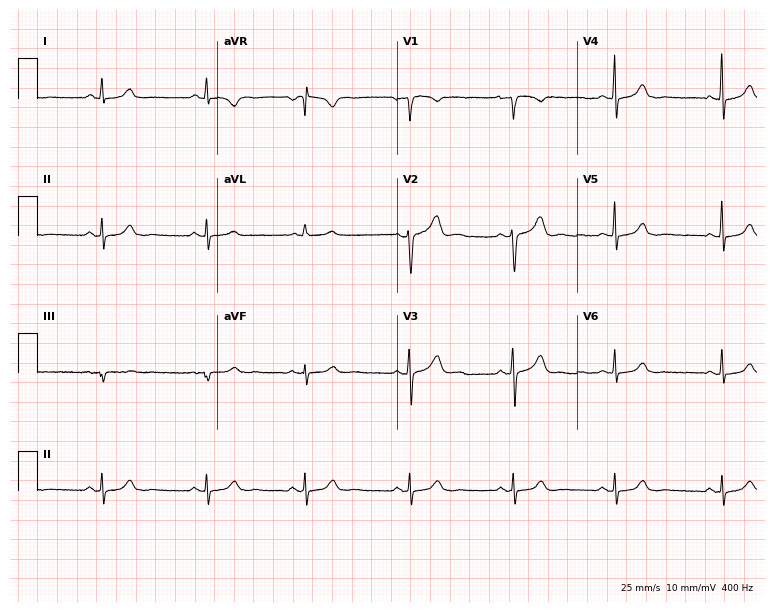
Standard 12-lead ECG recorded from a female patient, 39 years old. Read as a normal ECG.